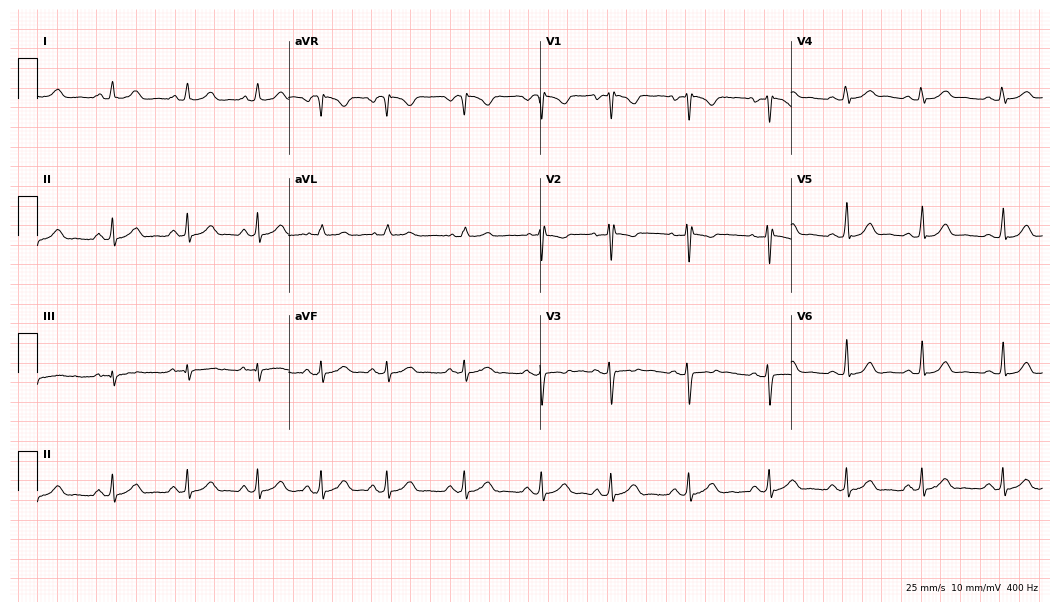
ECG — a female, 19 years old. Labelled as a normal ECG.